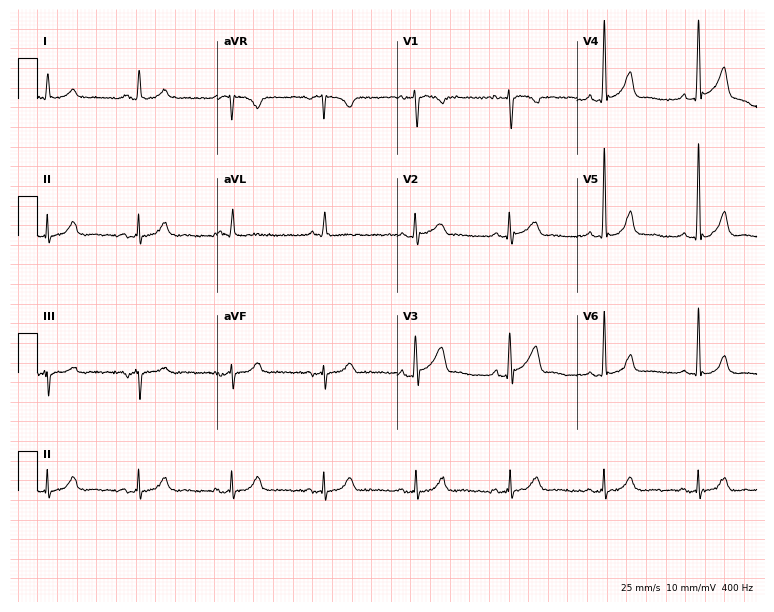
ECG — a male, 72 years old. Screened for six findings — first-degree AV block, right bundle branch block (RBBB), left bundle branch block (LBBB), sinus bradycardia, atrial fibrillation (AF), sinus tachycardia — none is recorded.